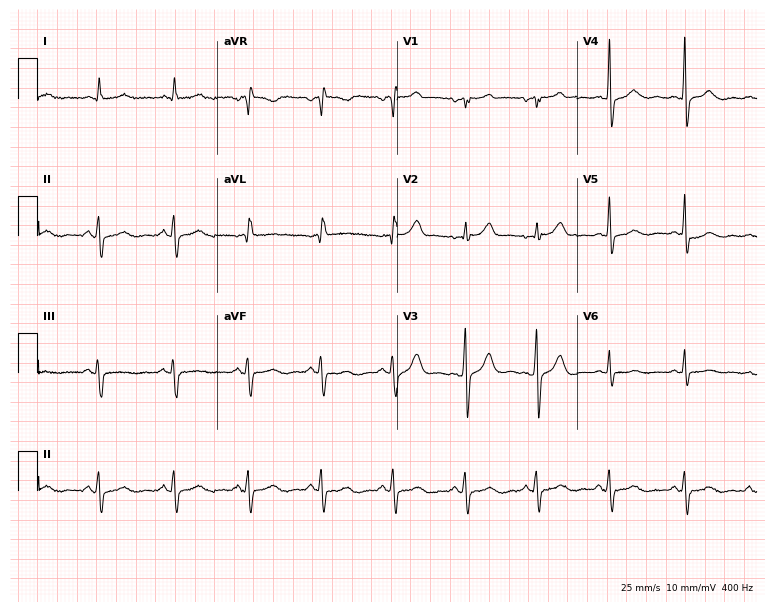
ECG (7.3-second recording at 400 Hz) — a 71-year-old male patient. Screened for six findings — first-degree AV block, right bundle branch block, left bundle branch block, sinus bradycardia, atrial fibrillation, sinus tachycardia — none is recorded. Only these six findings were labelled.